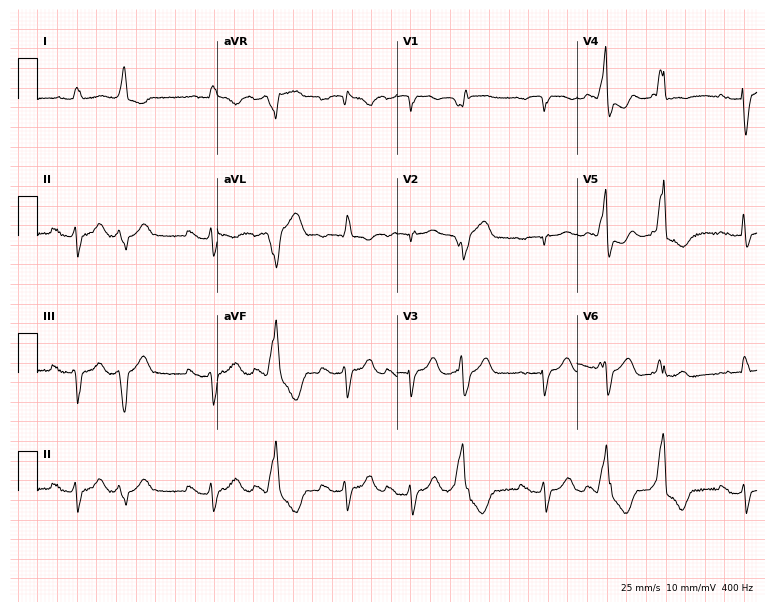
Standard 12-lead ECG recorded from a male, 83 years old (7.3-second recording at 400 Hz). The tracing shows first-degree AV block.